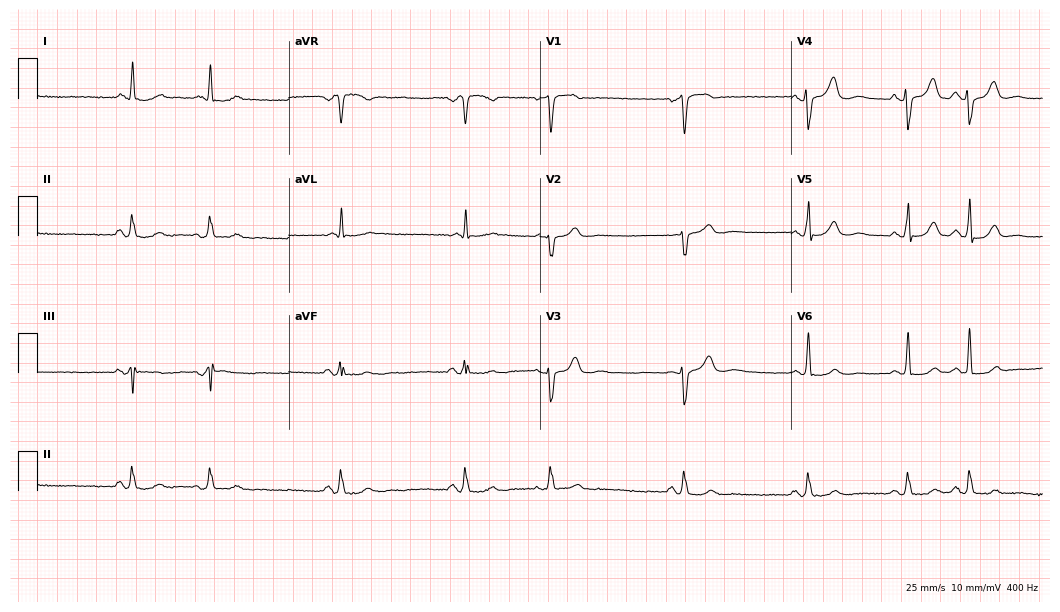
Electrocardiogram (10.2-second recording at 400 Hz), a 73-year-old female patient. Overall reading on record: normal ECG.